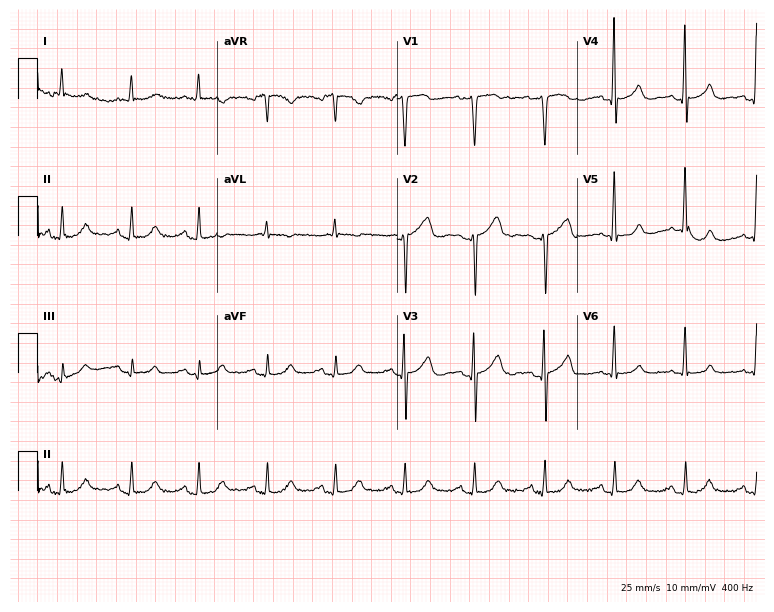
Standard 12-lead ECG recorded from a male, 70 years old. None of these six findings is recorded: first-degree AV block, right bundle branch block, left bundle branch block, sinus bradycardia, atrial fibrillation, sinus tachycardia. Findings outside these six are not listed.